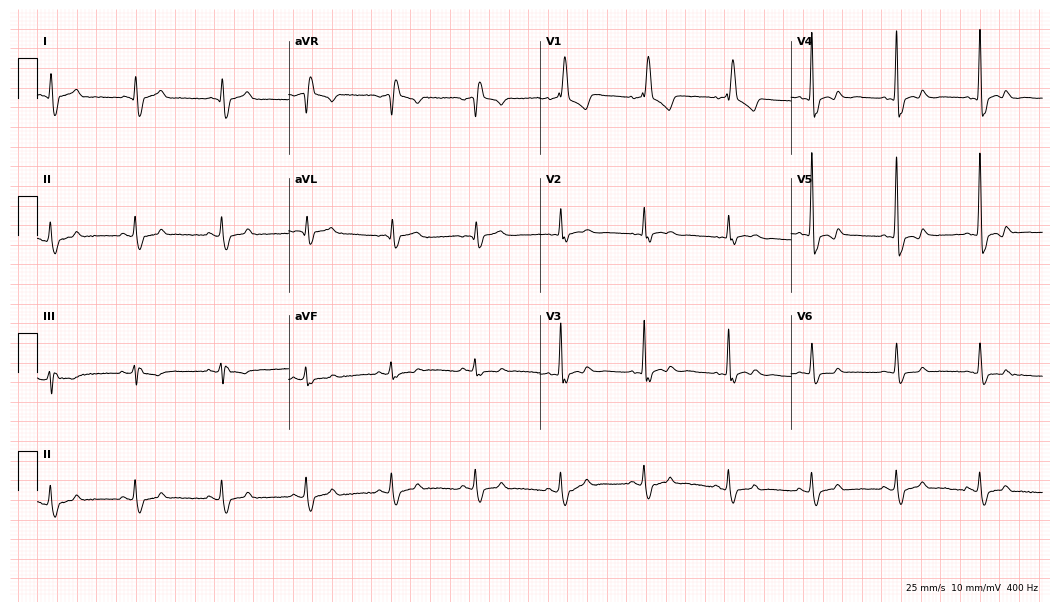
Standard 12-lead ECG recorded from a woman, 83 years old. None of these six findings is recorded: first-degree AV block, right bundle branch block, left bundle branch block, sinus bradycardia, atrial fibrillation, sinus tachycardia.